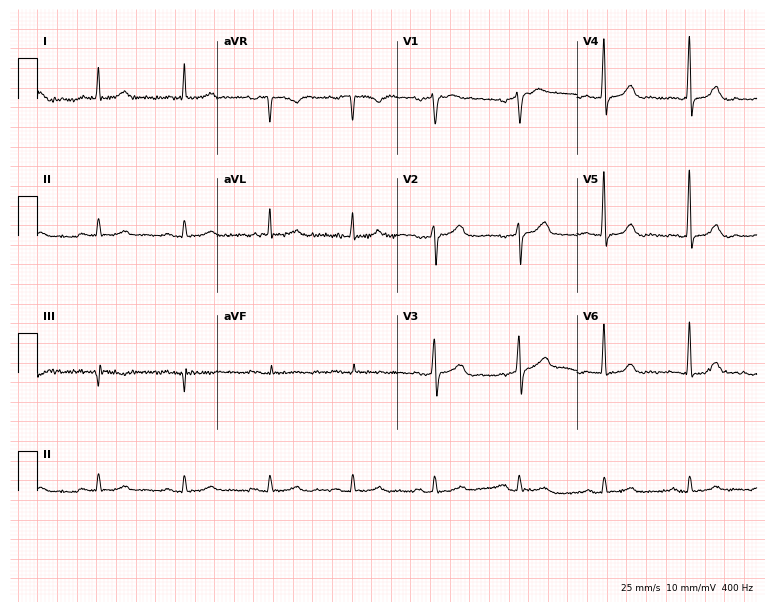
ECG (7.3-second recording at 400 Hz) — a 62-year-old male patient. Labelled as a normal ECG.